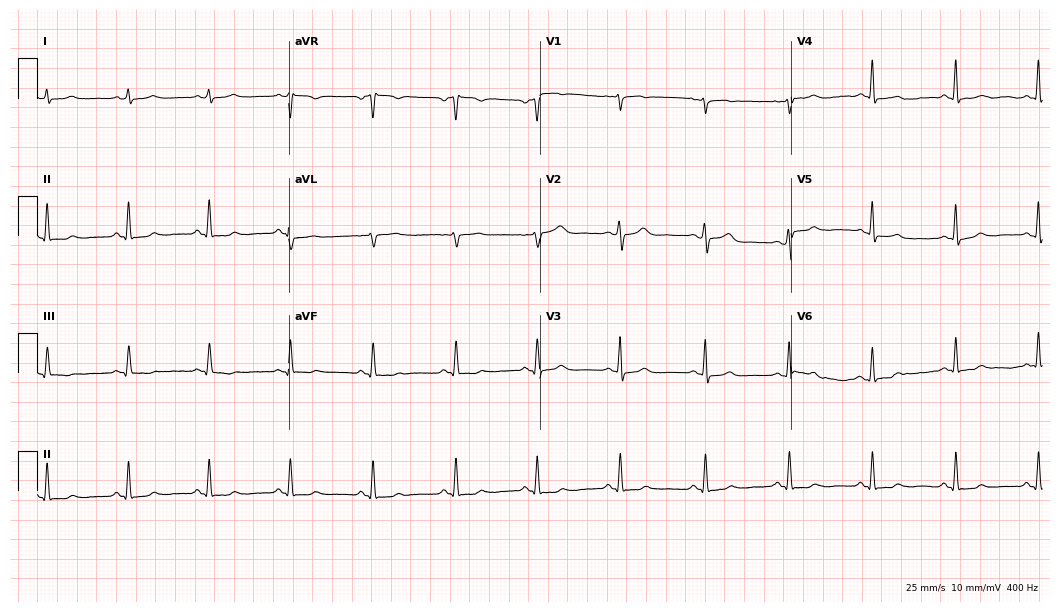
12-lead ECG from a 44-year-old female (10.2-second recording at 400 Hz). Recorded interpretation: within normal limits.